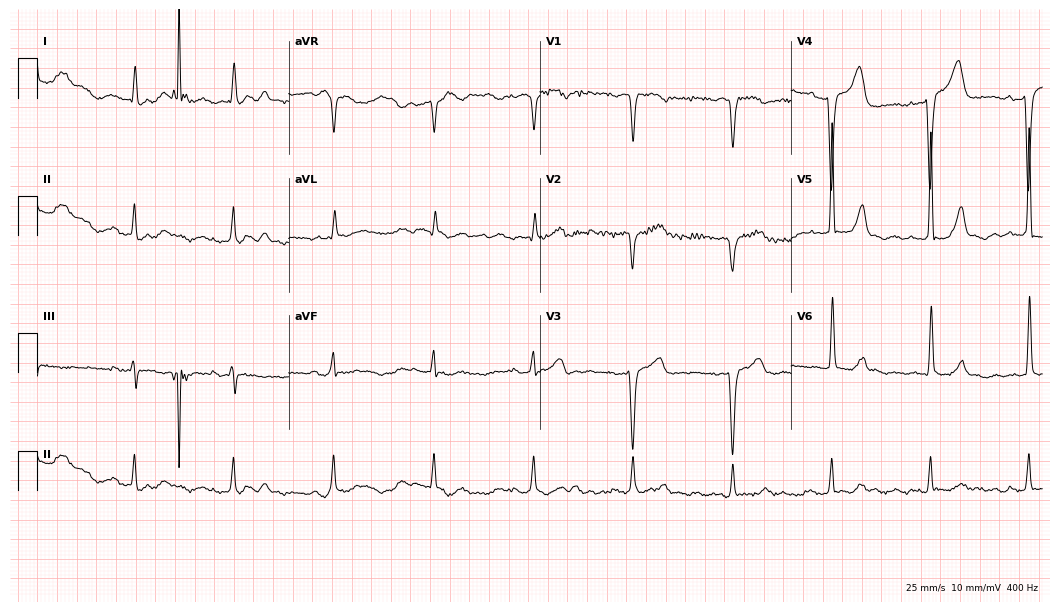
12-lead ECG from an 83-year-old male patient (10.2-second recording at 400 Hz). No first-degree AV block, right bundle branch block (RBBB), left bundle branch block (LBBB), sinus bradycardia, atrial fibrillation (AF) or sinus tachycardia recorded for this tracing. Only these six findings were labelled.